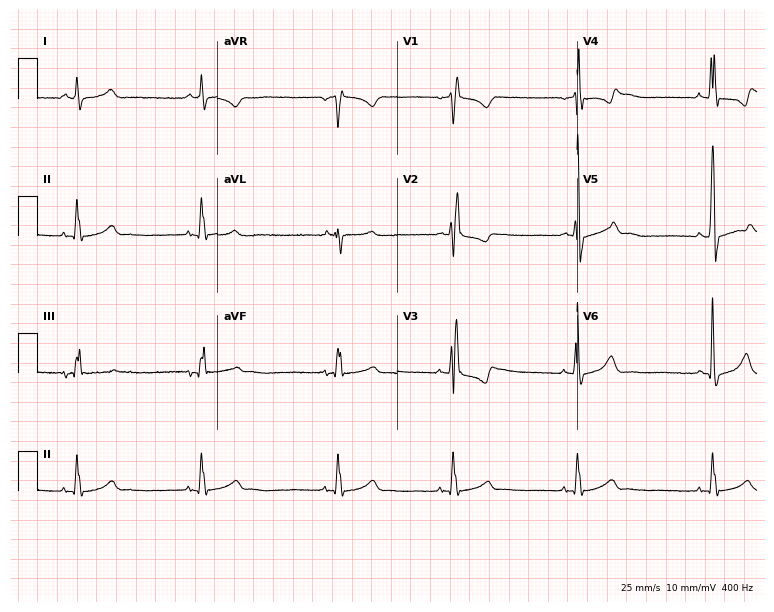
ECG — a male patient, 45 years old. Findings include sinus bradycardia (a sinus rate of 50 beats per minute or less).